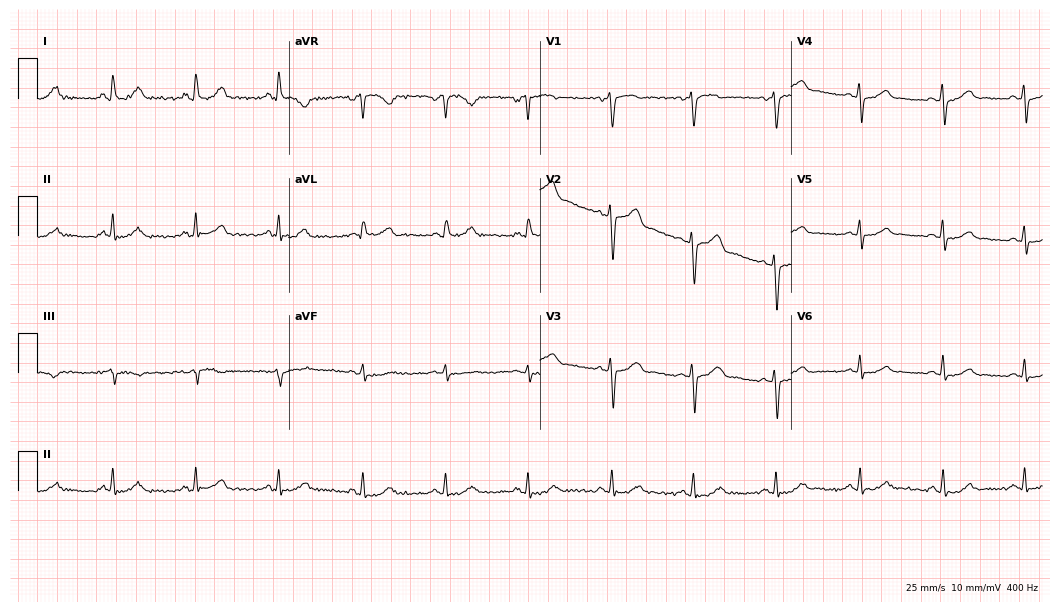
12-lead ECG (10.2-second recording at 400 Hz) from a female patient, 64 years old. Screened for six findings — first-degree AV block, right bundle branch block (RBBB), left bundle branch block (LBBB), sinus bradycardia, atrial fibrillation (AF), sinus tachycardia — none is recorded. Only these six findings were labelled.